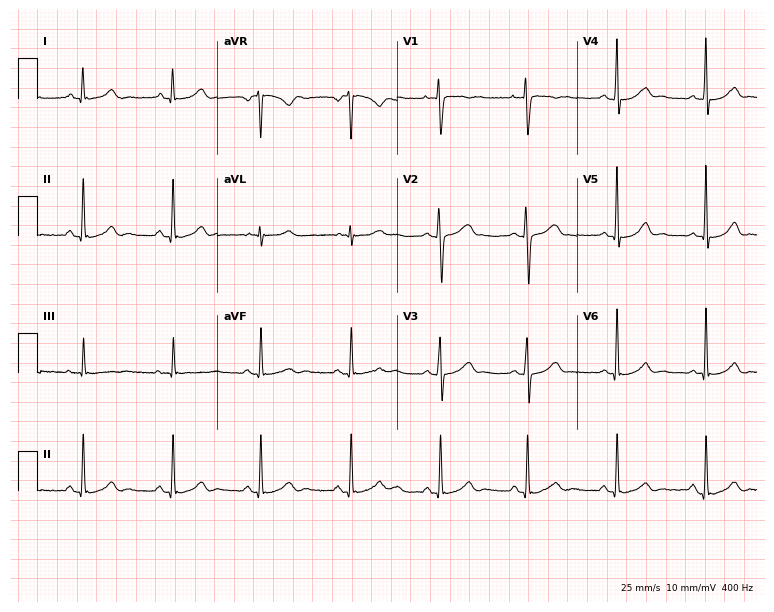
Resting 12-lead electrocardiogram (7.3-second recording at 400 Hz). Patient: a woman, 28 years old. Read as a normal ECG.